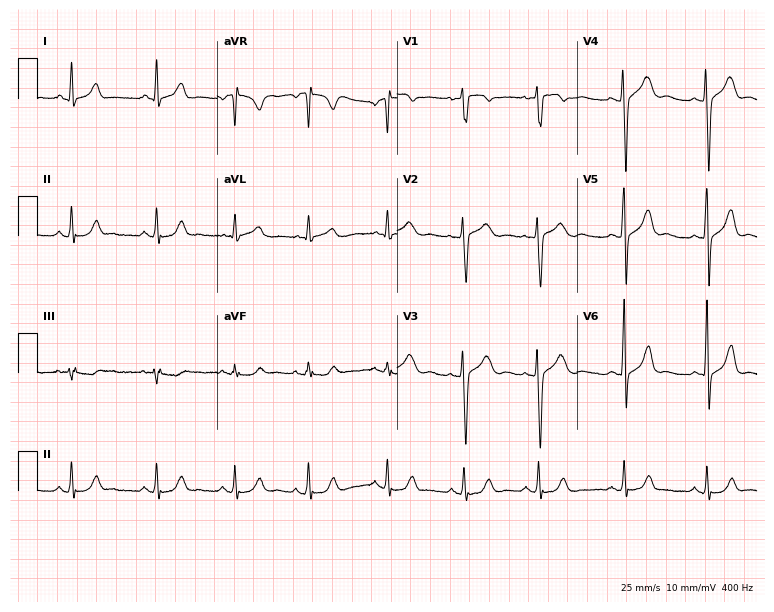
Resting 12-lead electrocardiogram. Patient: a 21-year-old female. Read as a normal ECG.